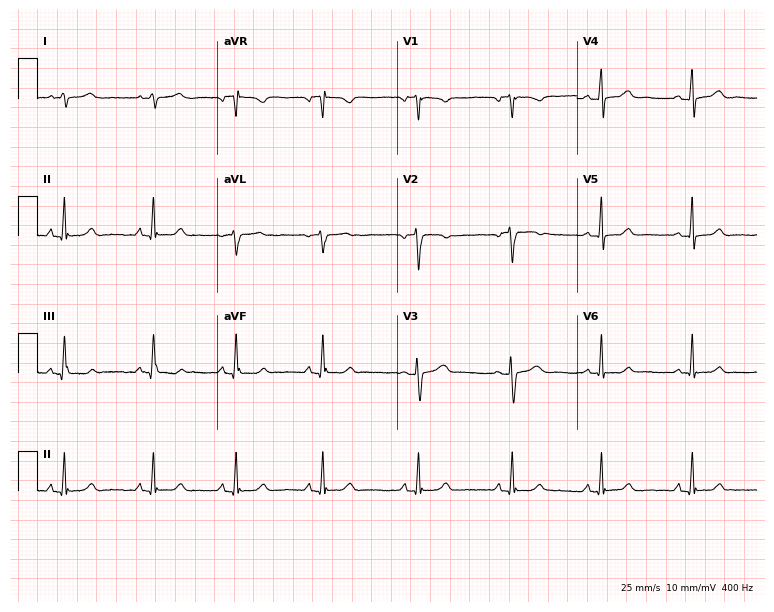
Standard 12-lead ECG recorded from a 29-year-old woman. None of these six findings is recorded: first-degree AV block, right bundle branch block, left bundle branch block, sinus bradycardia, atrial fibrillation, sinus tachycardia. Only these six findings were labelled.